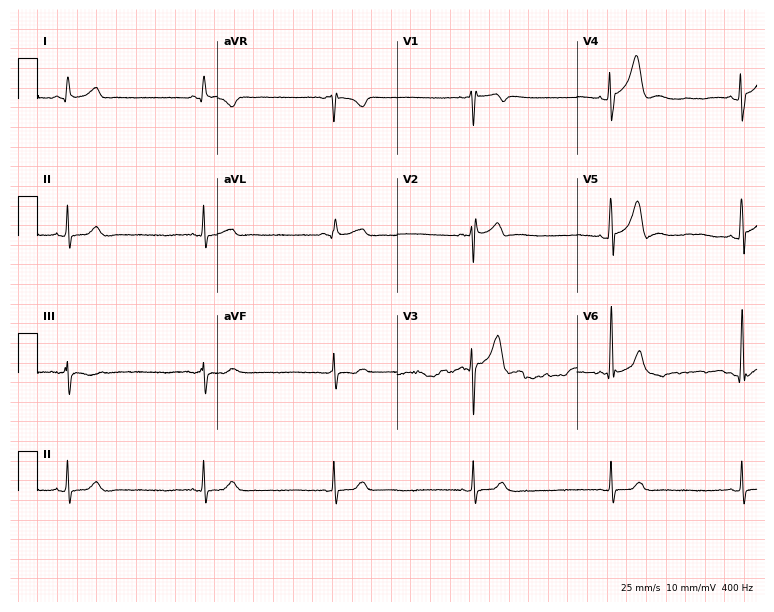
ECG — a 30-year-old man. Findings include sinus bradycardia (a sinus rate of 50 beats per minute or less).